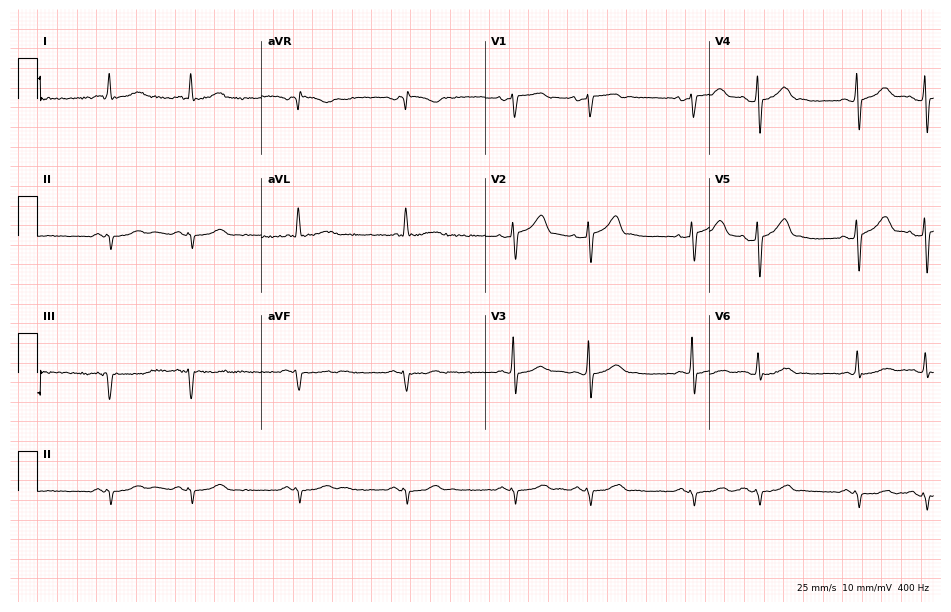
12-lead ECG (9.1-second recording at 400 Hz) from a man, 65 years old. Screened for six findings — first-degree AV block, right bundle branch block, left bundle branch block, sinus bradycardia, atrial fibrillation, sinus tachycardia — none is recorded.